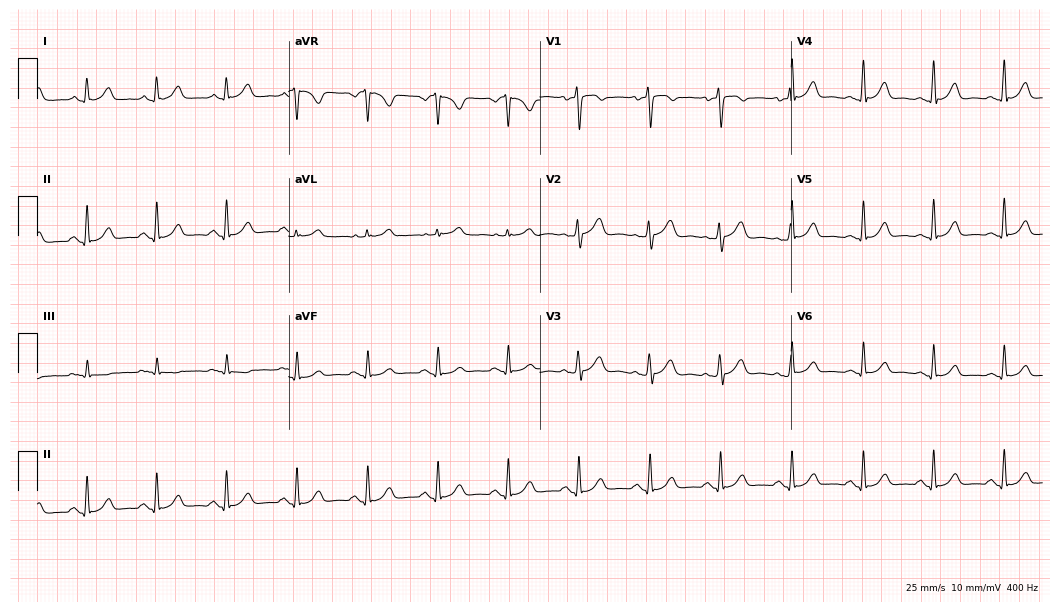
12-lead ECG (10.2-second recording at 400 Hz) from a 45-year-old woman. Screened for six findings — first-degree AV block, right bundle branch block (RBBB), left bundle branch block (LBBB), sinus bradycardia, atrial fibrillation (AF), sinus tachycardia — none is recorded. Other findings, if any, are not listed.